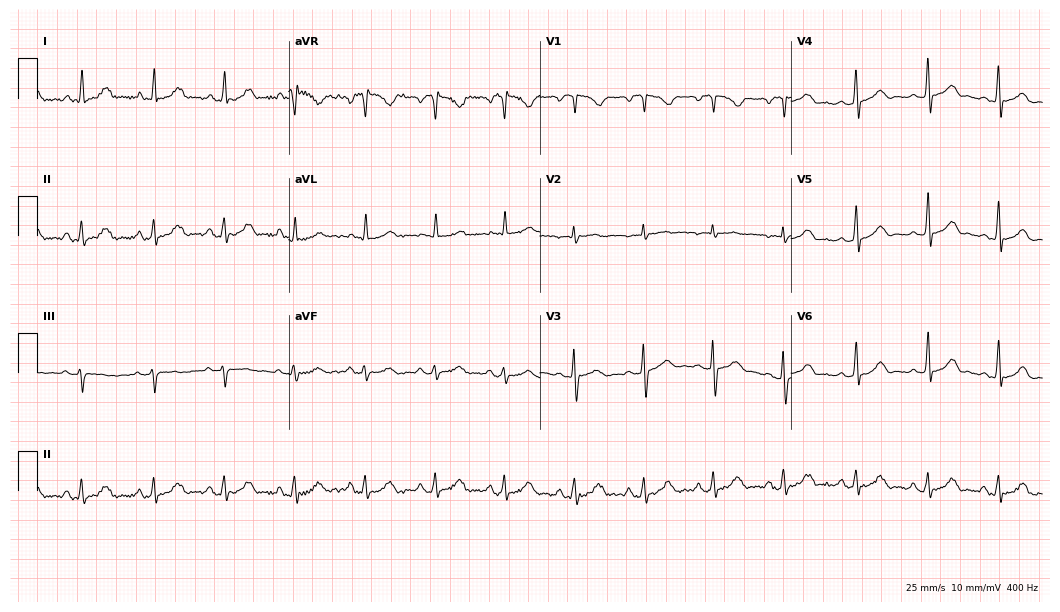
12-lead ECG from a 27-year-old female patient (10.2-second recording at 400 Hz). No first-degree AV block, right bundle branch block, left bundle branch block, sinus bradycardia, atrial fibrillation or sinus tachycardia recorded for this tracing. Findings outside these six are not listed.